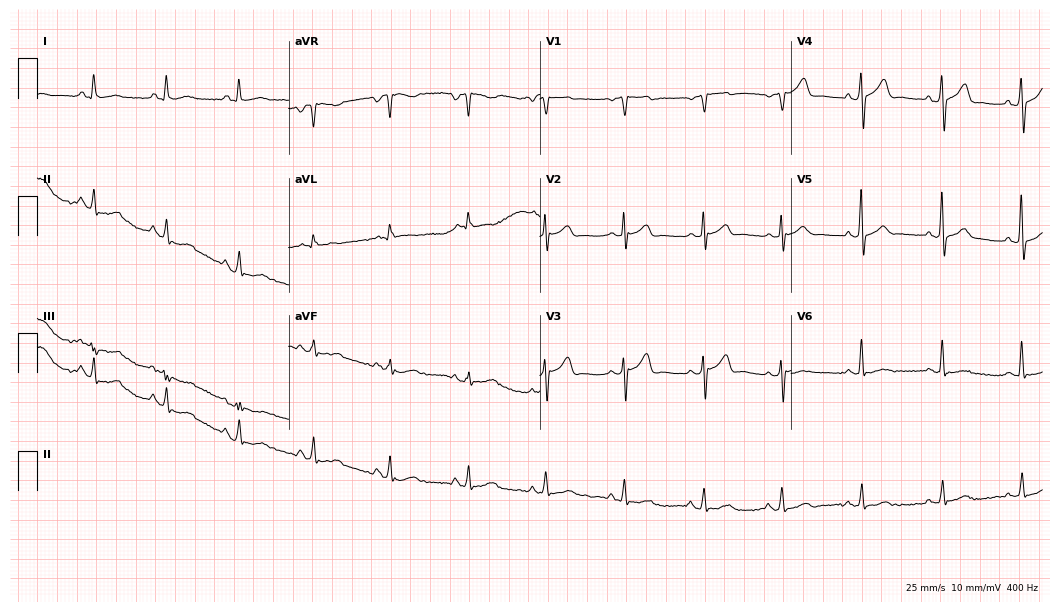
ECG — a 56-year-old male patient. Labelled as a normal ECG.